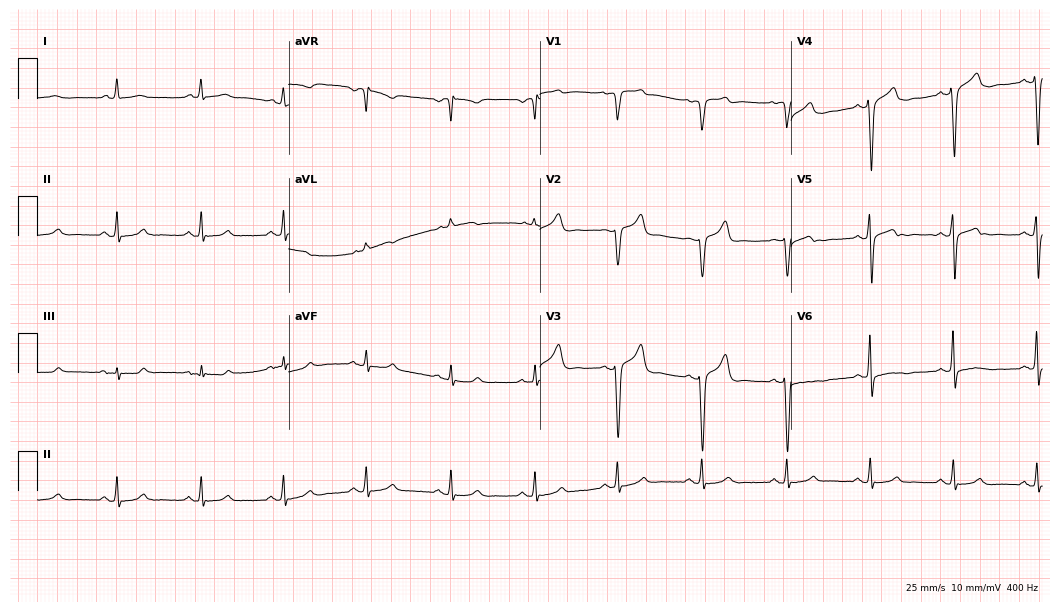
ECG (10.2-second recording at 400 Hz) — a 59-year-old male. Screened for six findings — first-degree AV block, right bundle branch block, left bundle branch block, sinus bradycardia, atrial fibrillation, sinus tachycardia — none is recorded. Findings outside these six are not listed.